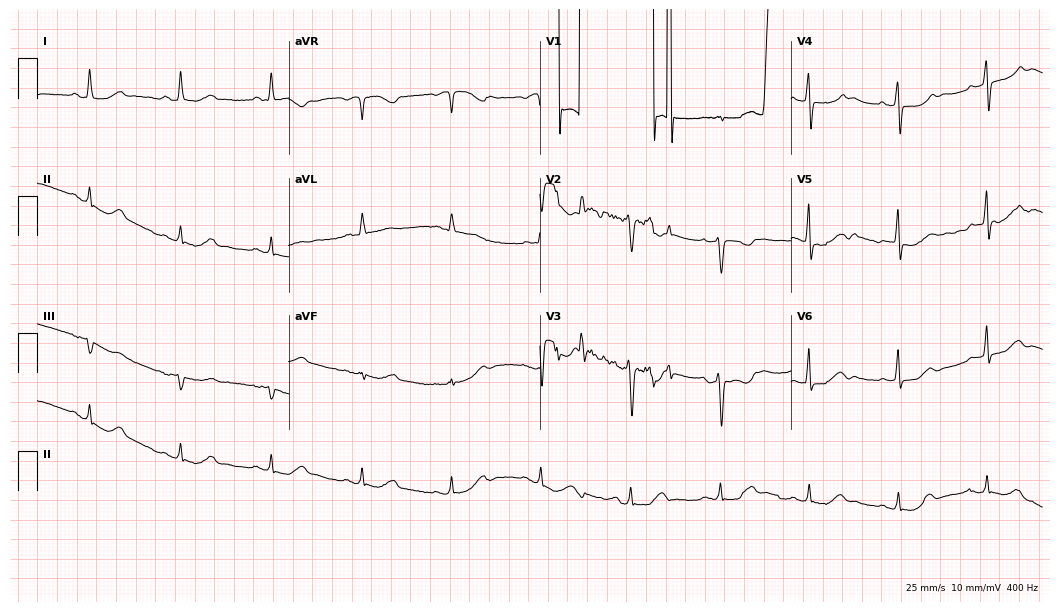
Electrocardiogram (10.2-second recording at 400 Hz), a 54-year-old female. Of the six screened findings (first-degree AV block, right bundle branch block (RBBB), left bundle branch block (LBBB), sinus bradycardia, atrial fibrillation (AF), sinus tachycardia), none is recorded.